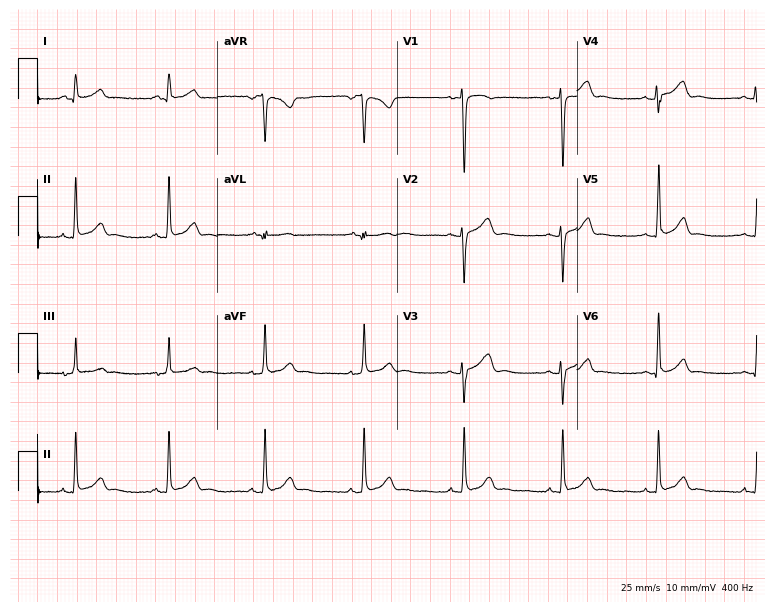
12-lead ECG (7.3-second recording at 400 Hz) from a woman, 23 years old. Screened for six findings — first-degree AV block, right bundle branch block, left bundle branch block, sinus bradycardia, atrial fibrillation, sinus tachycardia — none is recorded.